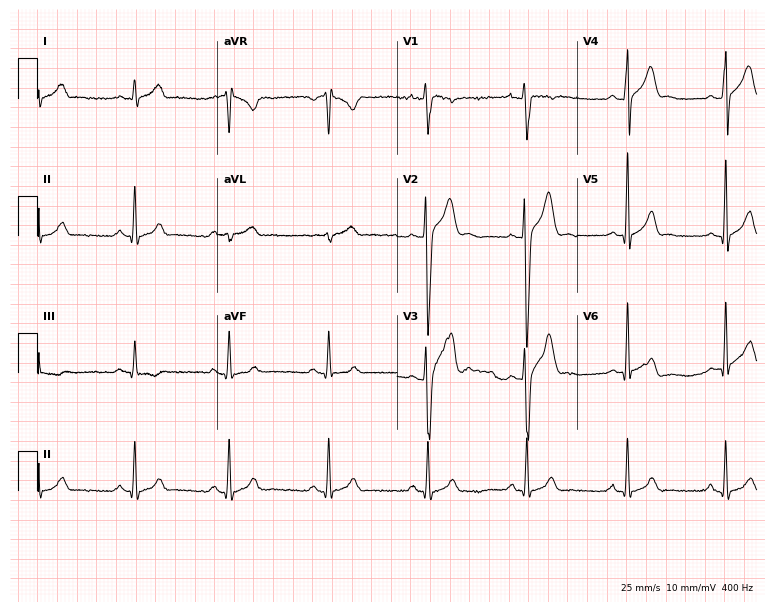
Electrocardiogram (7.3-second recording at 400 Hz), a male patient, 19 years old. Of the six screened findings (first-degree AV block, right bundle branch block (RBBB), left bundle branch block (LBBB), sinus bradycardia, atrial fibrillation (AF), sinus tachycardia), none is recorded.